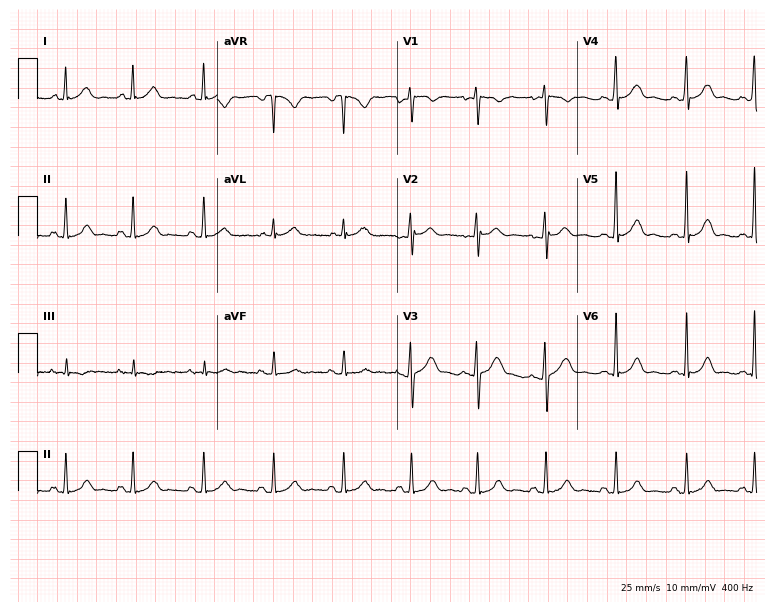
Standard 12-lead ECG recorded from a female, 36 years old. Read as a normal ECG.